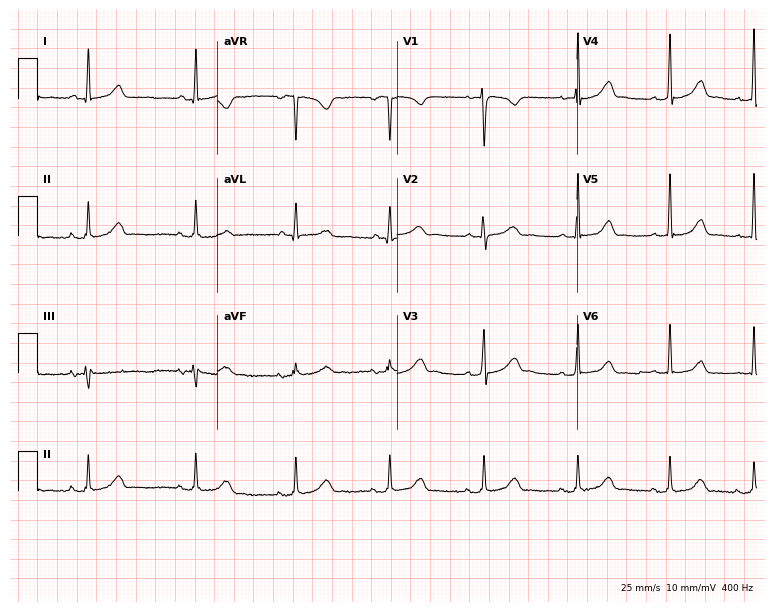
Electrocardiogram, a female patient, 25 years old. Overall reading on record: normal ECG.